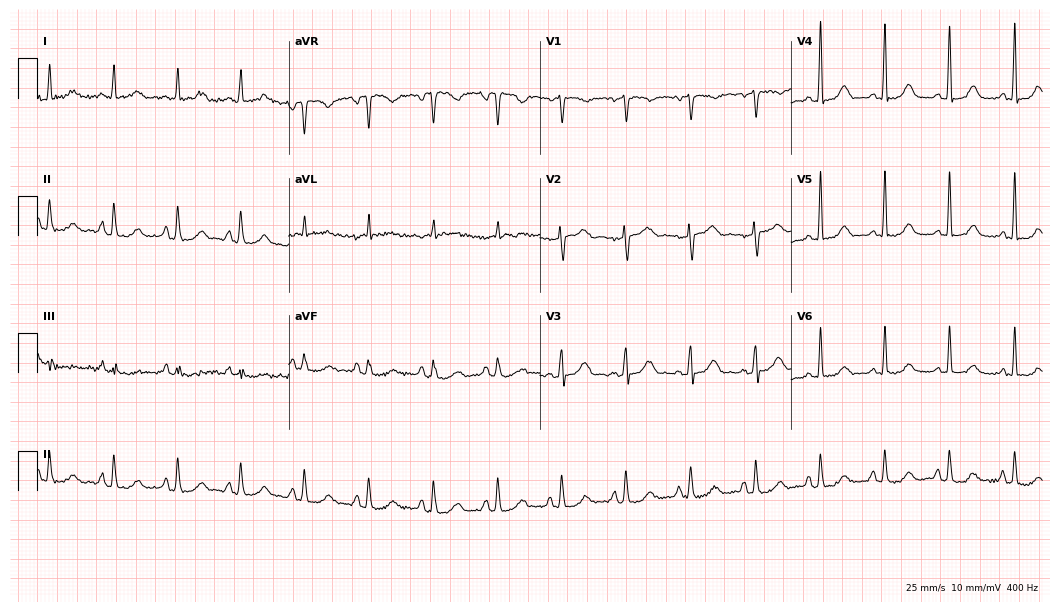
ECG (10.2-second recording at 400 Hz) — a female patient, 85 years old. Screened for six findings — first-degree AV block, right bundle branch block, left bundle branch block, sinus bradycardia, atrial fibrillation, sinus tachycardia — none is recorded. Other findings, if any, are not listed.